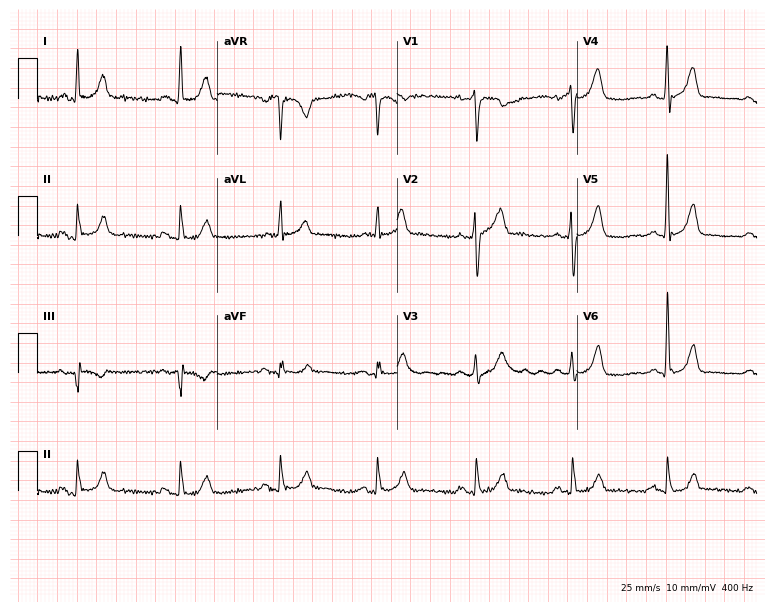
Standard 12-lead ECG recorded from a male, 44 years old (7.3-second recording at 400 Hz). Read as a normal ECG.